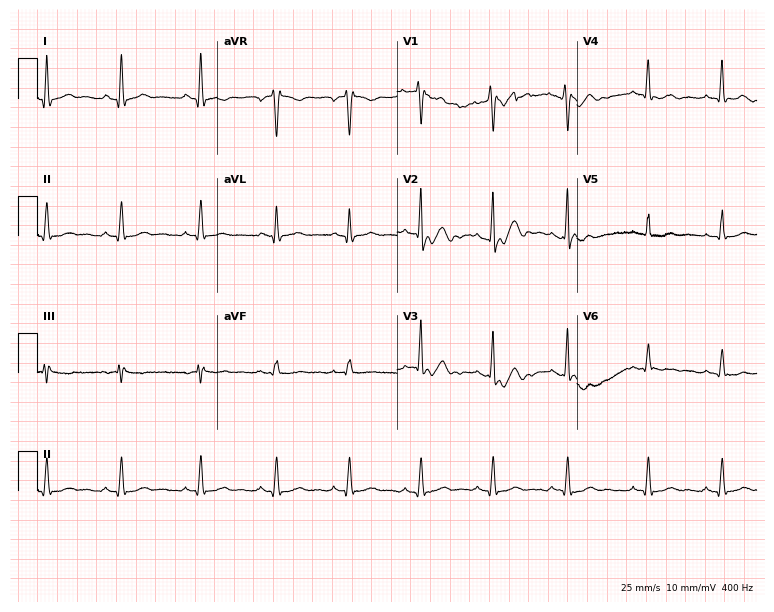
12-lead ECG from a 33-year-old man. No first-degree AV block, right bundle branch block, left bundle branch block, sinus bradycardia, atrial fibrillation or sinus tachycardia recorded for this tracing. Other findings, if any, are not listed.